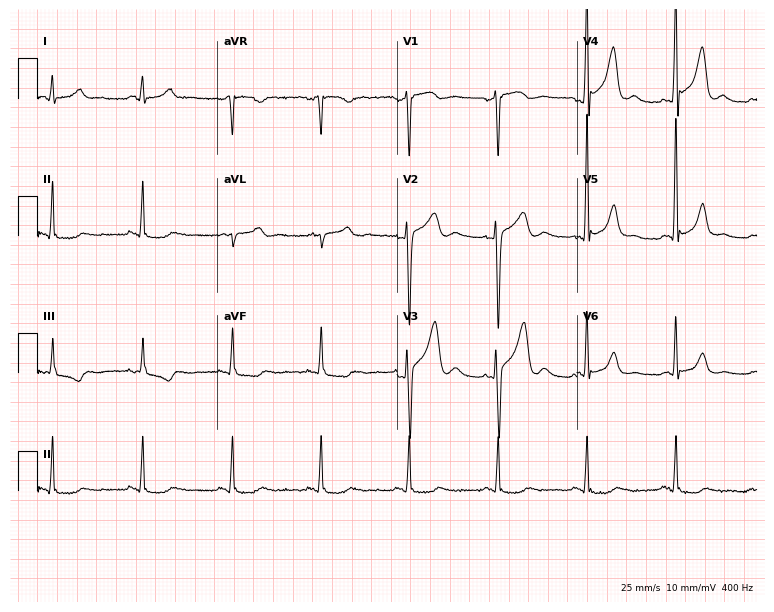
12-lead ECG from a female, 49 years old. No first-degree AV block, right bundle branch block, left bundle branch block, sinus bradycardia, atrial fibrillation or sinus tachycardia recorded for this tracing.